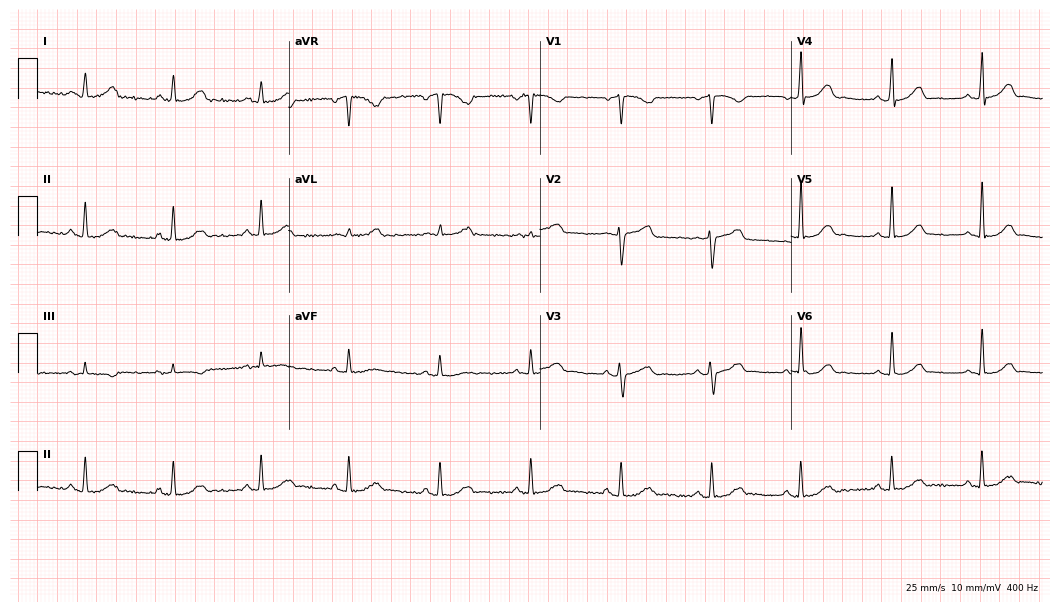
Electrocardiogram (10.2-second recording at 400 Hz), a male patient, 45 years old. Overall reading on record: normal ECG.